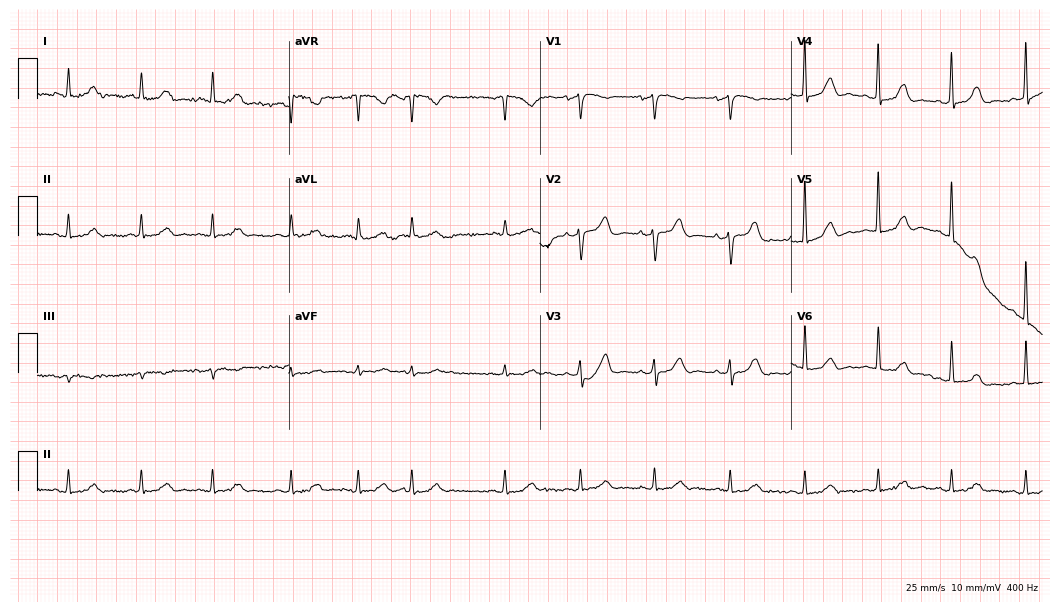
Standard 12-lead ECG recorded from a female patient, 78 years old (10.2-second recording at 400 Hz). None of these six findings is recorded: first-degree AV block, right bundle branch block, left bundle branch block, sinus bradycardia, atrial fibrillation, sinus tachycardia. Only these six findings were labelled.